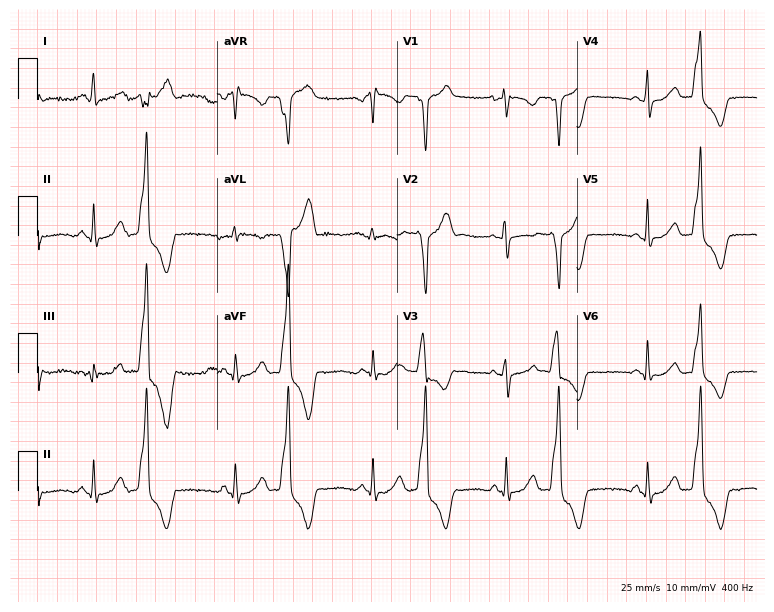
Electrocardiogram, a woman, 31 years old. Overall reading on record: normal ECG.